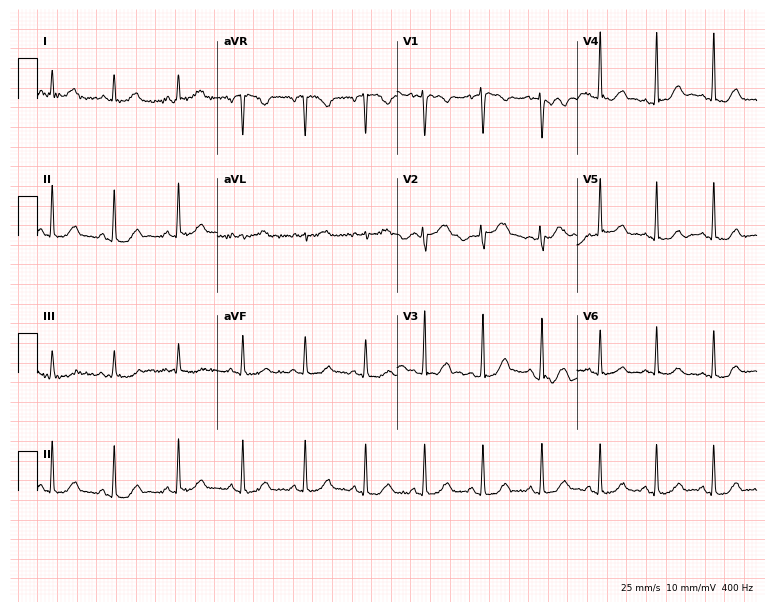
12-lead ECG from a 33-year-old female. Recorded interpretation: within normal limits.